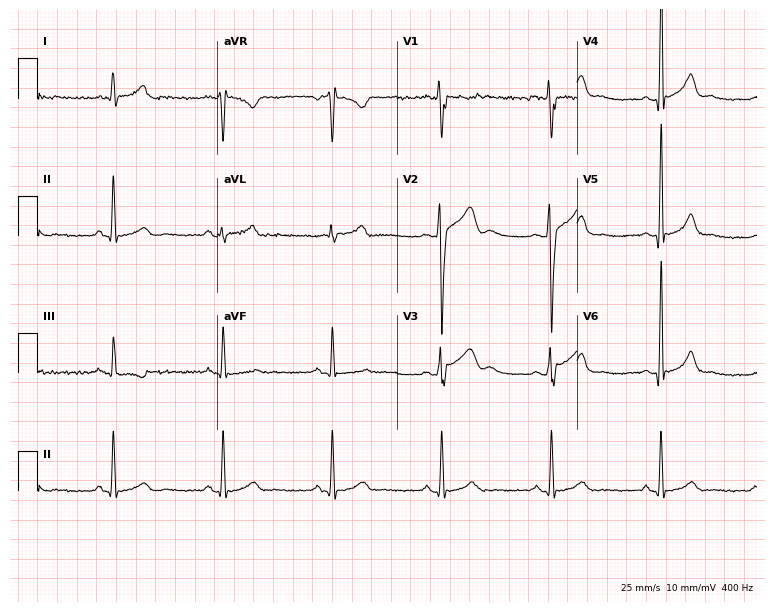
Standard 12-lead ECG recorded from a male patient, 20 years old (7.3-second recording at 400 Hz). Read as a normal ECG.